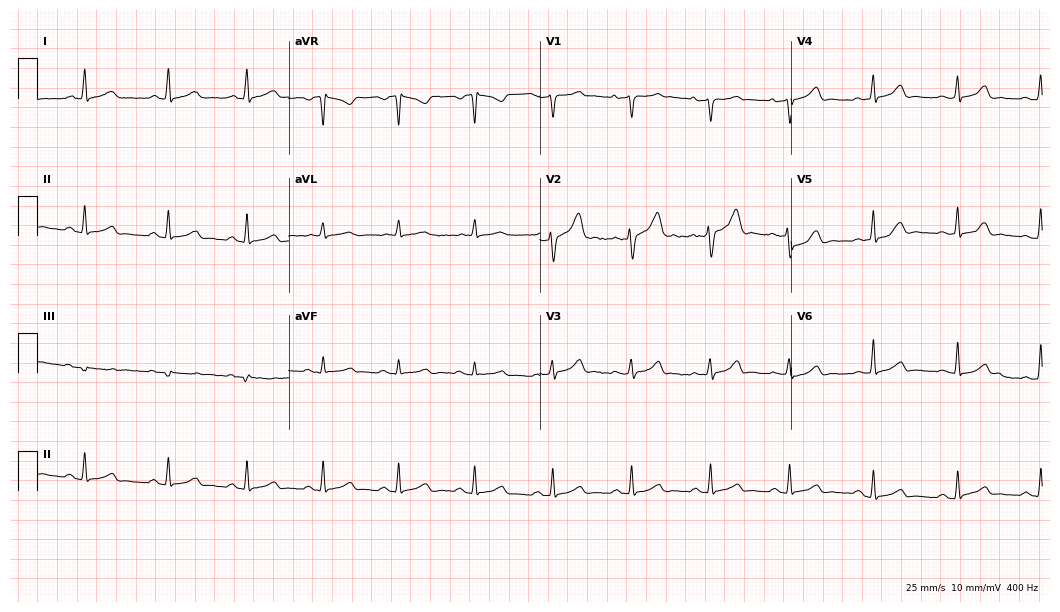
ECG — a 33-year-old male patient. Labelled as a normal ECG.